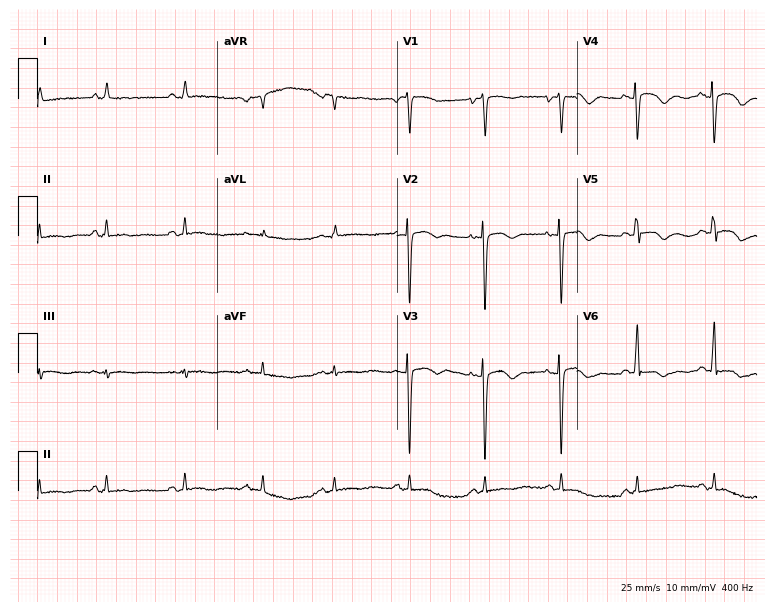
Electrocardiogram, a 51-year-old female. Of the six screened findings (first-degree AV block, right bundle branch block, left bundle branch block, sinus bradycardia, atrial fibrillation, sinus tachycardia), none is recorded.